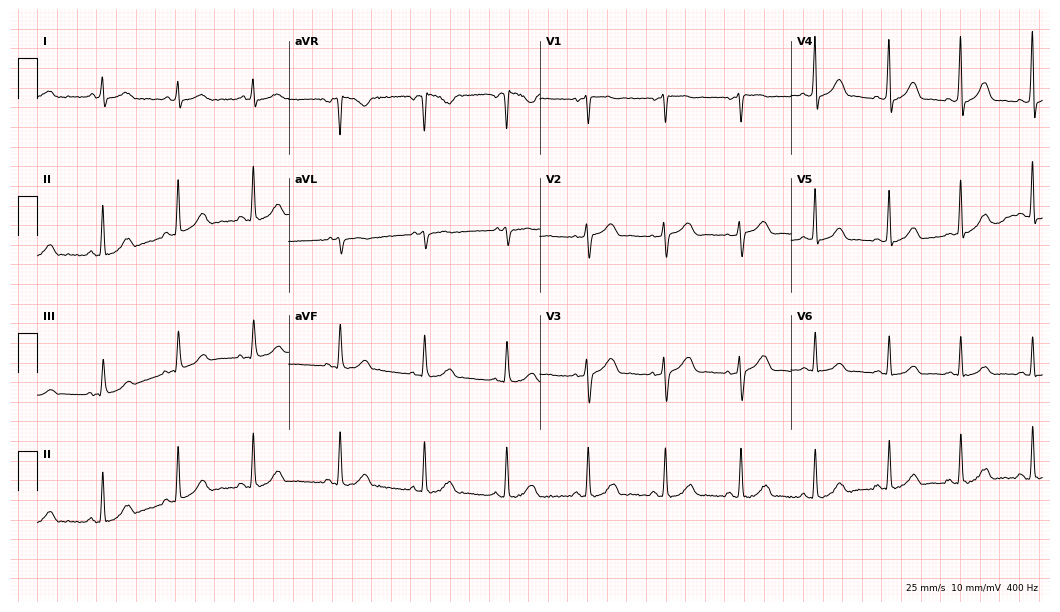
Electrocardiogram, a woman, 42 years old. Of the six screened findings (first-degree AV block, right bundle branch block (RBBB), left bundle branch block (LBBB), sinus bradycardia, atrial fibrillation (AF), sinus tachycardia), none is recorded. Findings outside these six are not listed.